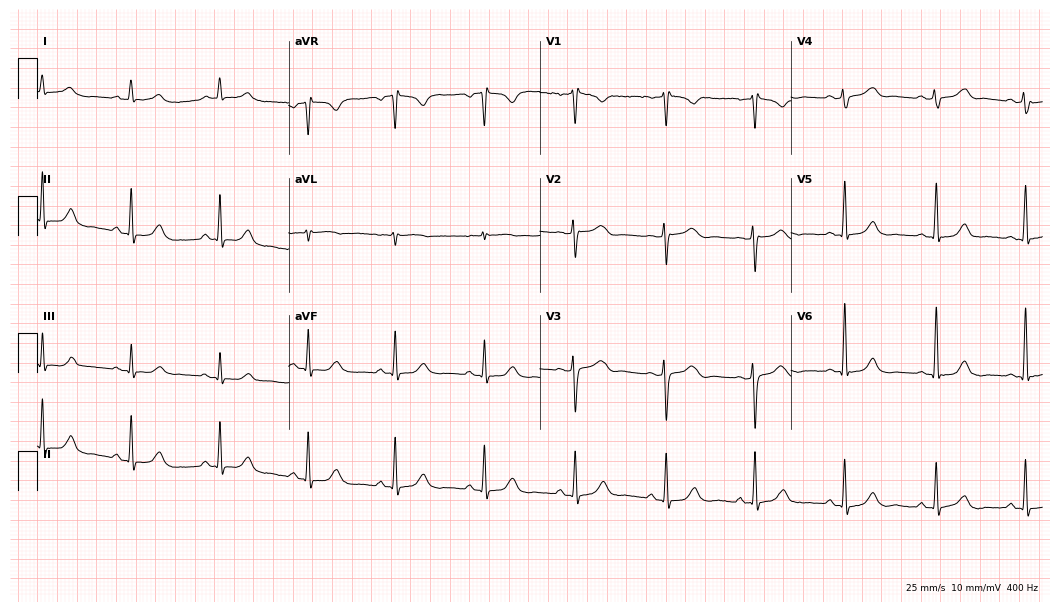
12-lead ECG (10.2-second recording at 400 Hz) from a 54-year-old female. Labelled as a normal ECG.